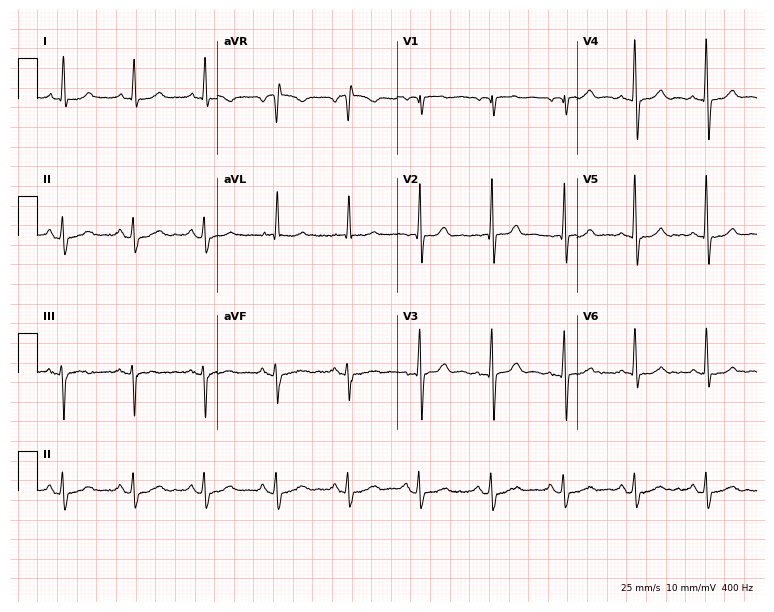
12-lead ECG from a female patient, 72 years old. Screened for six findings — first-degree AV block, right bundle branch block, left bundle branch block, sinus bradycardia, atrial fibrillation, sinus tachycardia — none is recorded. Only these six findings were labelled.